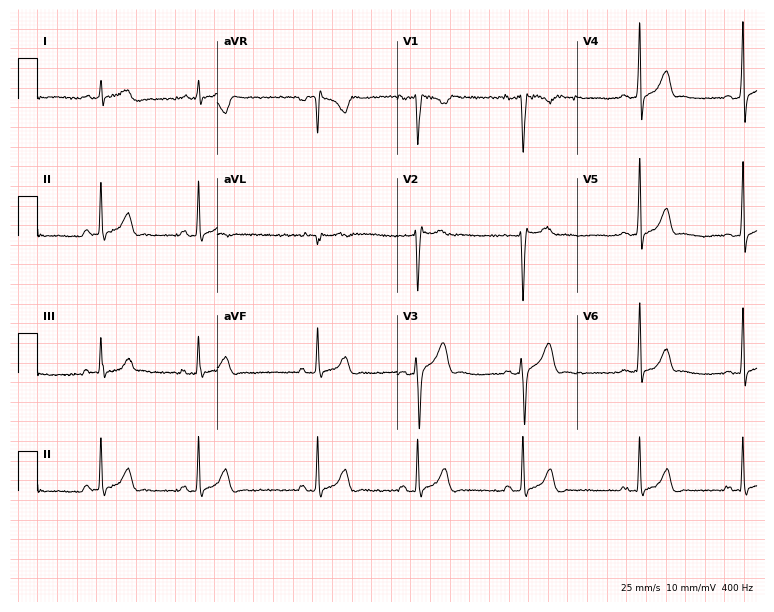
12-lead ECG from a male patient, 20 years old. Screened for six findings — first-degree AV block, right bundle branch block, left bundle branch block, sinus bradycardia, atrial fibrillation, sinus tachycardia — none is recorded. Only these six findings were labelled.